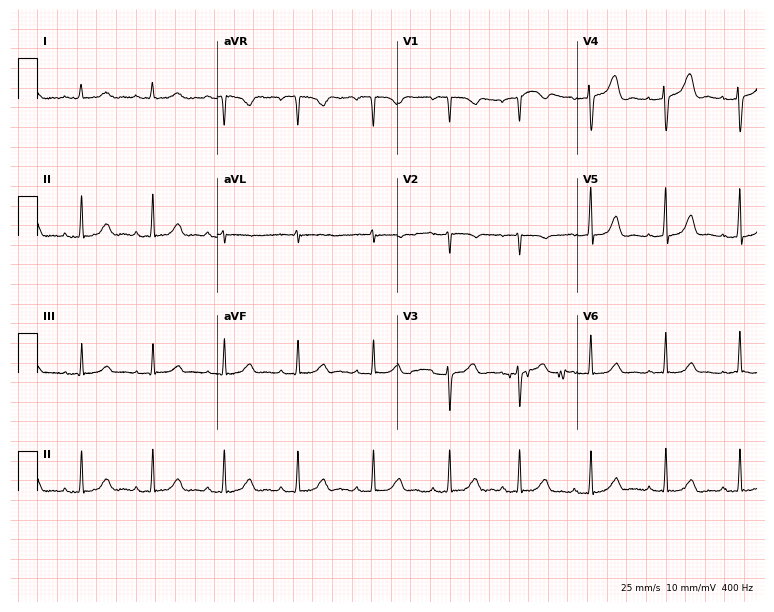
Electrocardiogram (7.3-second recording at 400 Hz), a 39-year-old female. Overall reading on record: normal ECG.